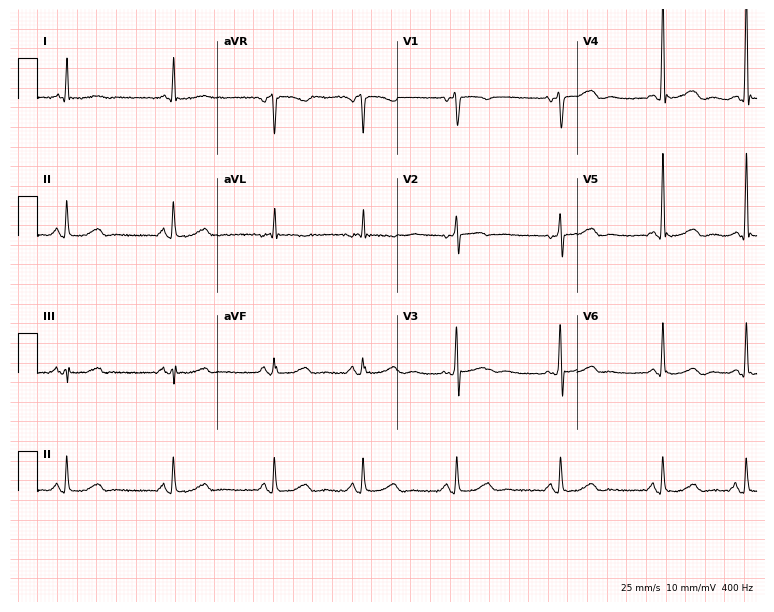
12-lead ECG from a 48-year-old female. No first-degree AV block, right bundle branch block (RBBB), left bundle branch block (LBBB), sinus bradycardia, atrial fibrillation (AF) or sinus tachycardia recorded for this tracing.